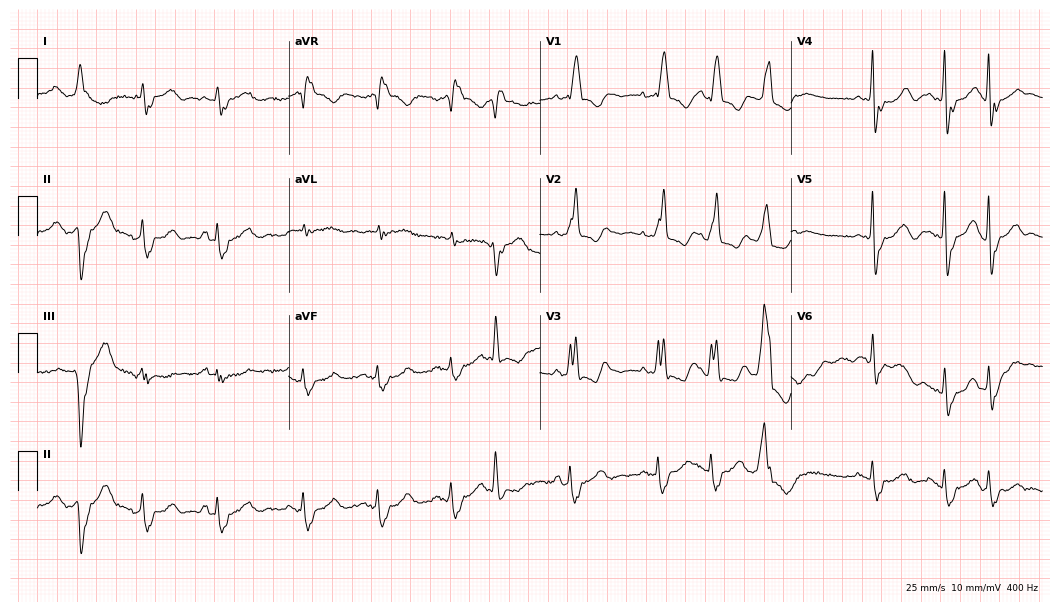
ECG — a 77-year-old female. Findings include right bundle branch block (RBBB).